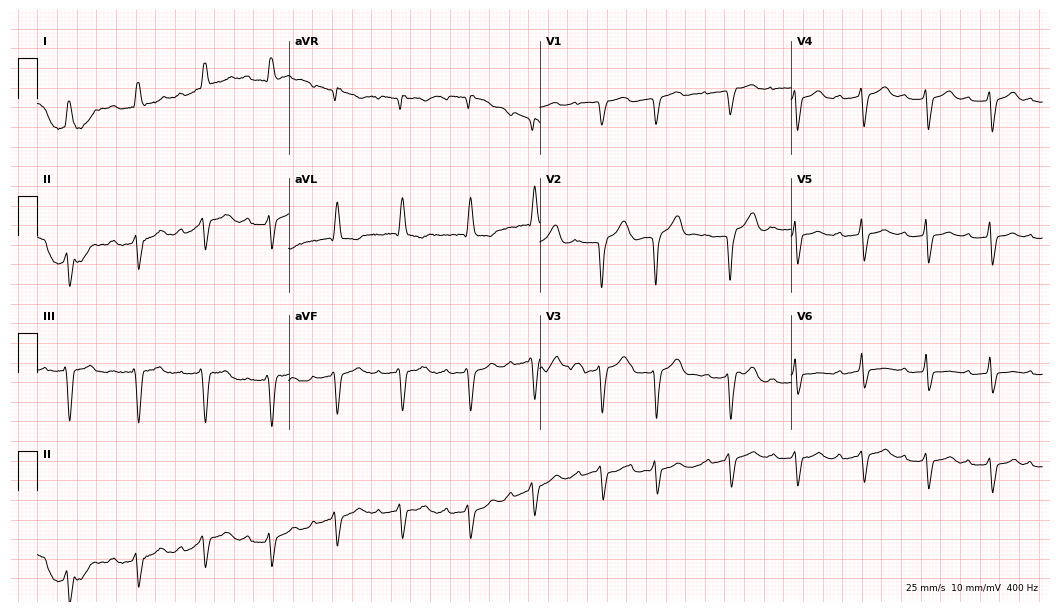
ECG (10.2-second recording at 400 Hz) — an 85-year-old female. Findings include left bundle branch block.